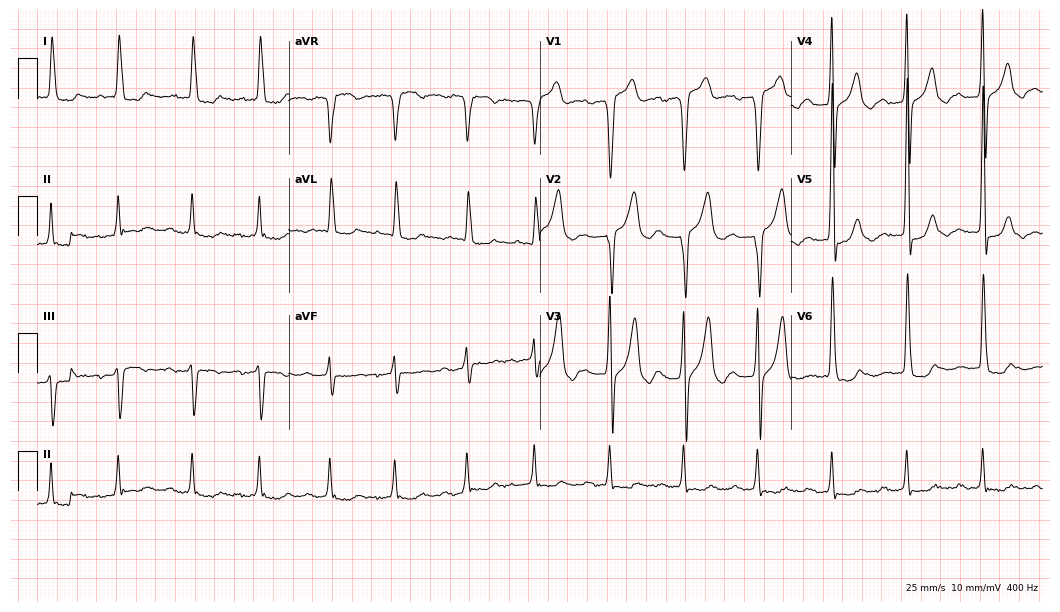
Electrocardiogram (10.2-second recording at 400 Hz), an 84-year-old man. Interpretation includes first-degree AV block.